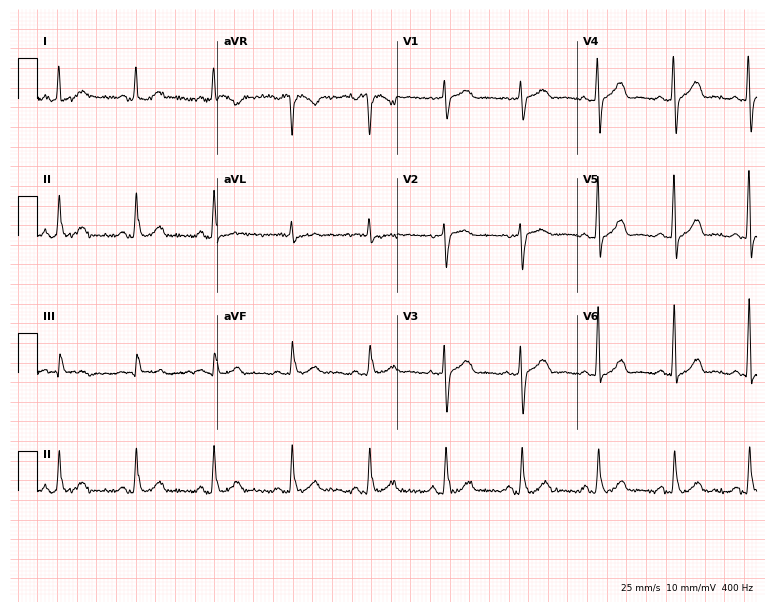
12-lead ECG from a woman, 59 years old (7.3-second recording at 400 Hz). No first-degree AV block, right bundle branch block (RBBB), left bundle branch block (LBBB), sinus bradycardia, atrial fibrillation (AF) or sinus tachycardia recorded for this tracing.